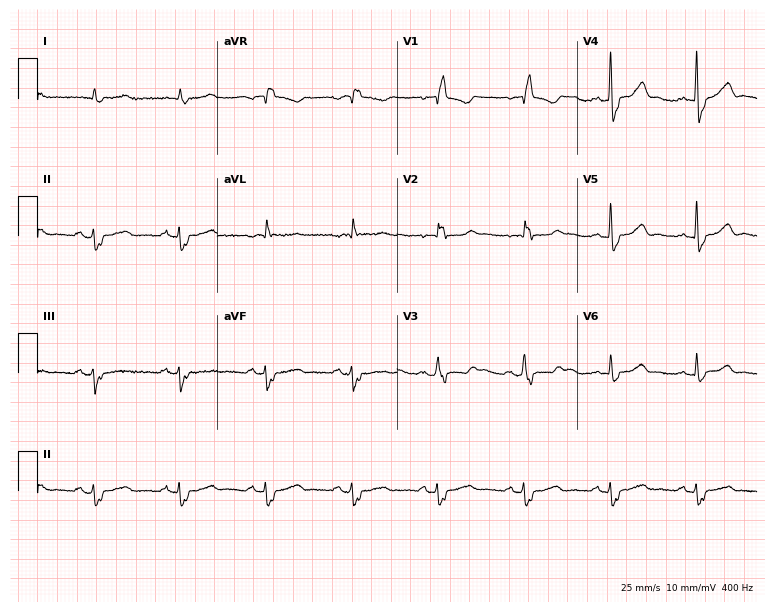
Standard 12-lead ECG recorded from an 80-year-old female patient. None of these six findings is recorded: first-degree AV block, right bundle branch block (RBBB), left bundle branch block (LBBB), sinus bradycardia, atrial fibrillation (AF), sinus tachycardia. Only these six findings were labelled.